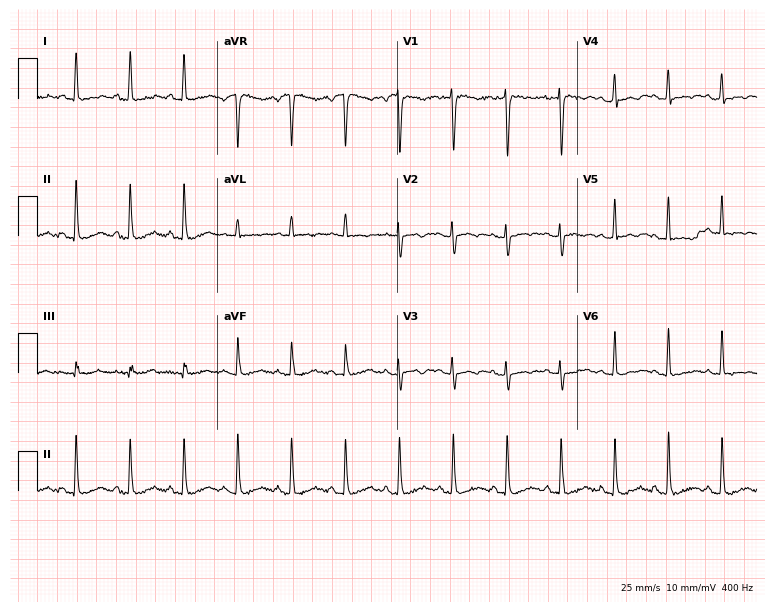
Electrocardiogram, a woman, 27 years old. Interpretation includes sinus tachycardia (a sinus rate of 100 beats per minute or more).